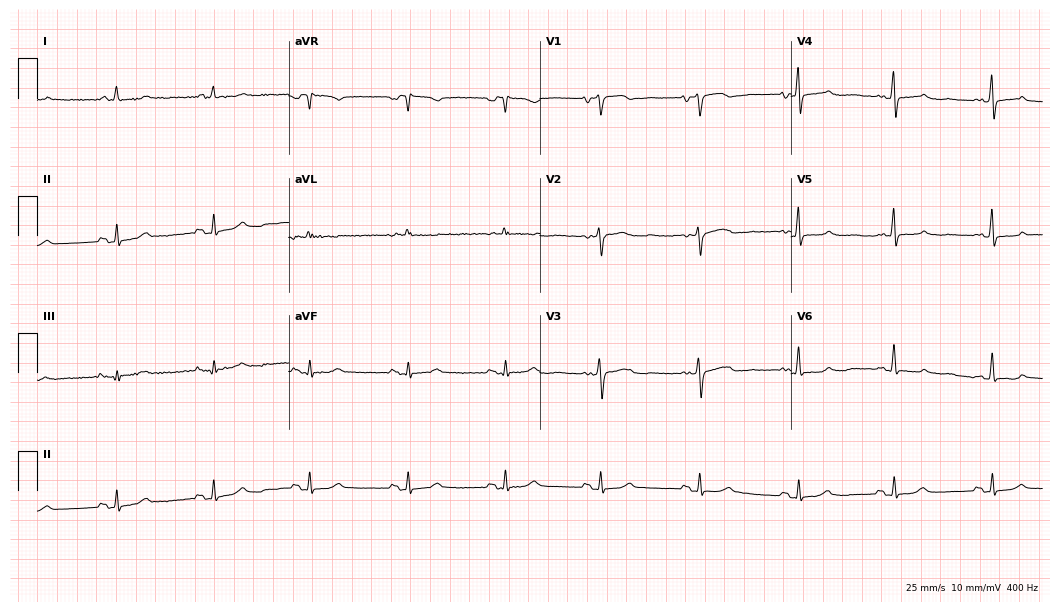
Standard 12-lead ECG recorded from a 76-year-old female (10.2-second recording at 400 Hz). None of these six findings is recorded: first-degree AV block, right bundle branch block (RBBB), left bundle branch block (LBBB), sinus bradycardia, atrial fibrillation (AF), sinus tachycardia. Only these six findings were labelled.